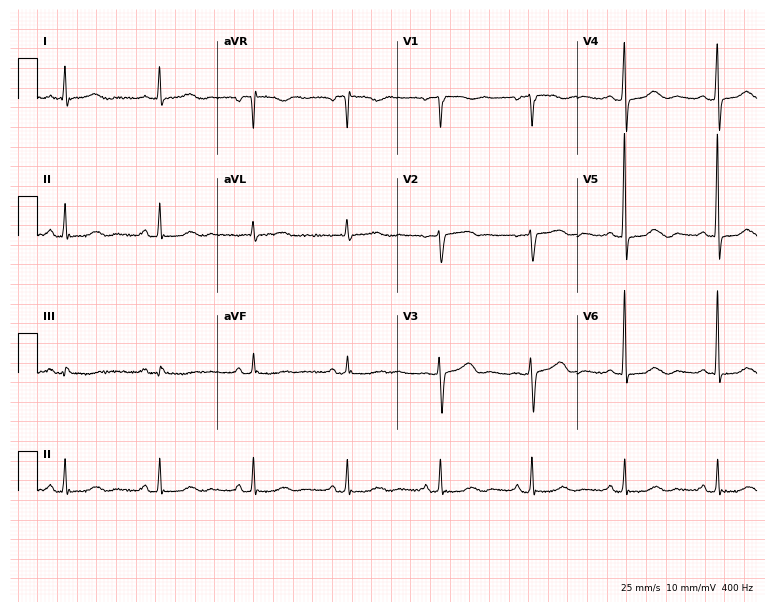
Standard 12-lead ECG recorded from a female patient, 78 years old (7.3-second recording at 400 Hz). Read as a normal ECG.